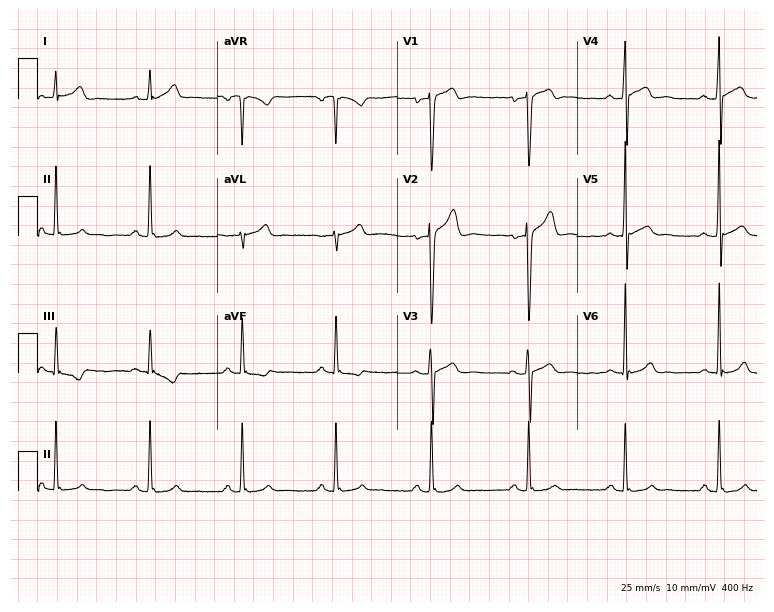
Resting 12-lead electrocardiogram (7.3-second recording at 400 Hz). Patient: a 27-year-old man. Read as a normal ECG.